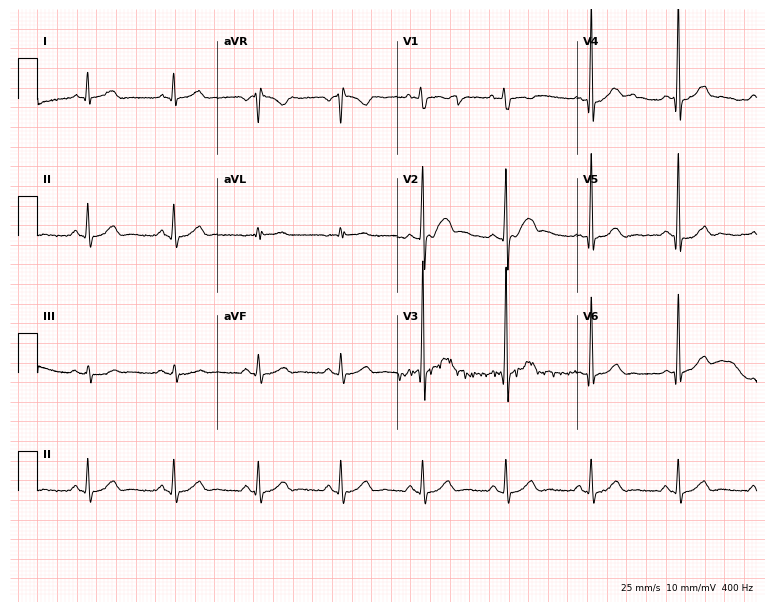
Standard 12-lead ECG recorded from a male patient, 48 years old. Read as a normal ECG.